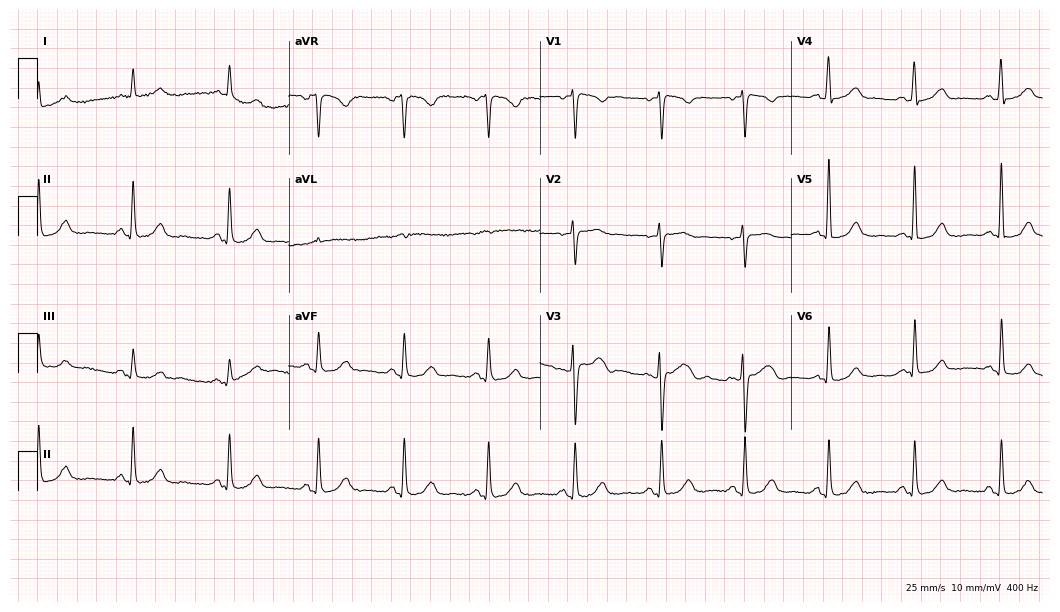
Resting 12-lead electrocardiogram (10.2-second recording at 400 Hz). Patient: a female, 57 years old. Read as a normal ECG.